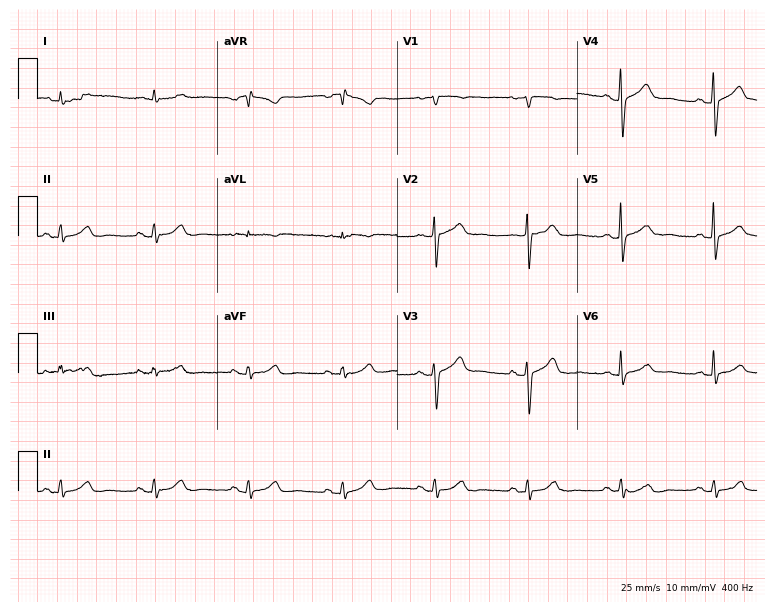
12-lead ECG from a 75-year-old male patient. Labelled as a normal ECG.